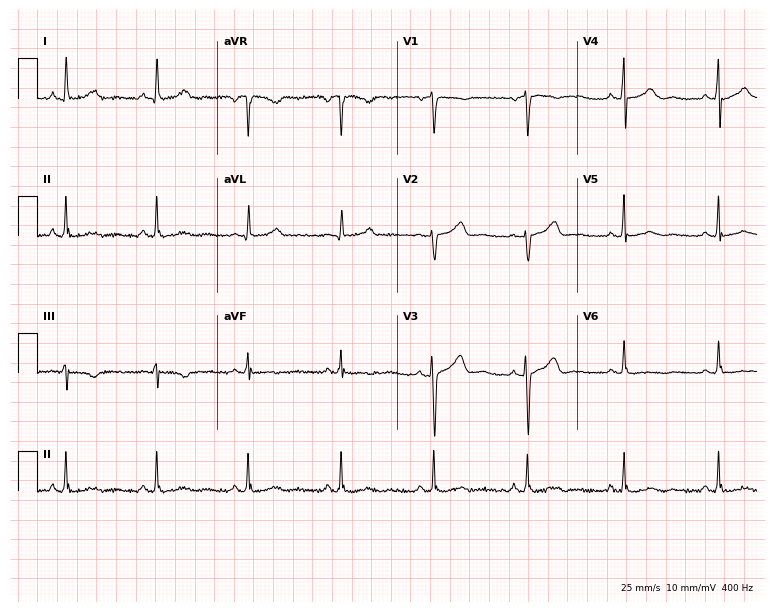
Resting 12-lead electrocardiogram (7.3-second recording at 400 Hz). Patient: a 42-year-old female. None of these six findings is recorded: first-degree AV block, right bundle branch block, left bundle branch block, sinus bradycardia, atrial fibrillation, sinus tachycardia. Only these six findings were labelled.